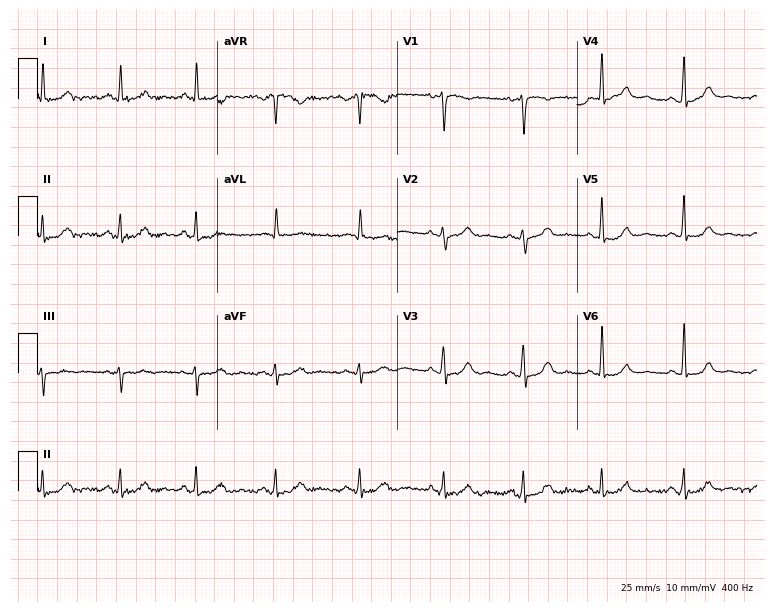
Standard 12-lead ECG recorded from a female, 38 years old. None of these six findings is recorded: first-degree AV block, right bundle branch block, left bundle branch block, sinus bradycardia, atrial fibrillation, sinus tachycardia. Only these six findings were labelled.